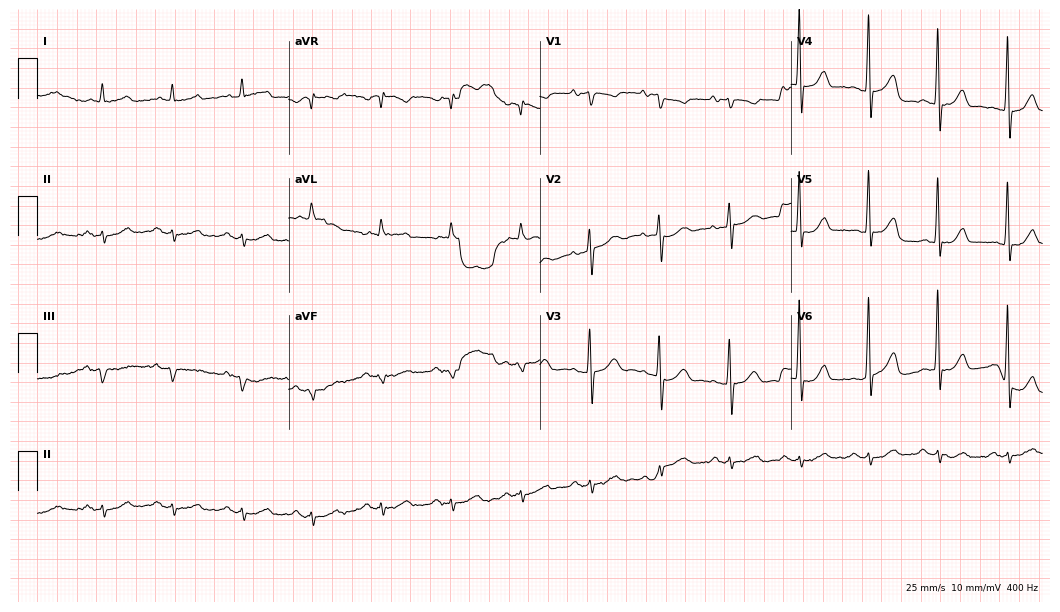
12-lead ECG (10.2-second recording at 400 Hz) from a female, 83 years old. Screened for six findings — first-degree AV block, right bundle branch block, left bundle branch block, sinus bradycardia, atrial fibrillation, sinus tachycardia — none is recorded. Findings outside these six are not listed.